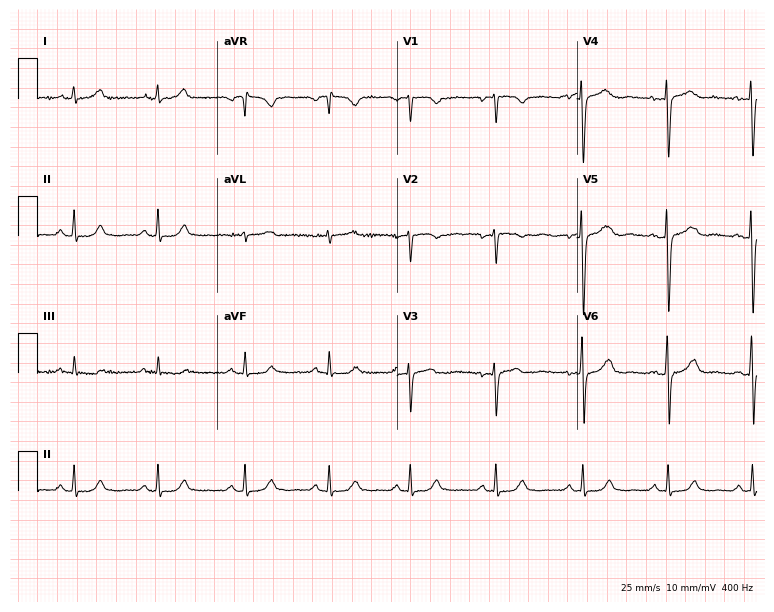
12-lead ECG from a 37-year-old female. Screened for six findings — first-degree AV block, right bundle branch block, left bundle branch block, sinus bradycardia, atrial fibrillation, sinus tachycardia — none is recorded.